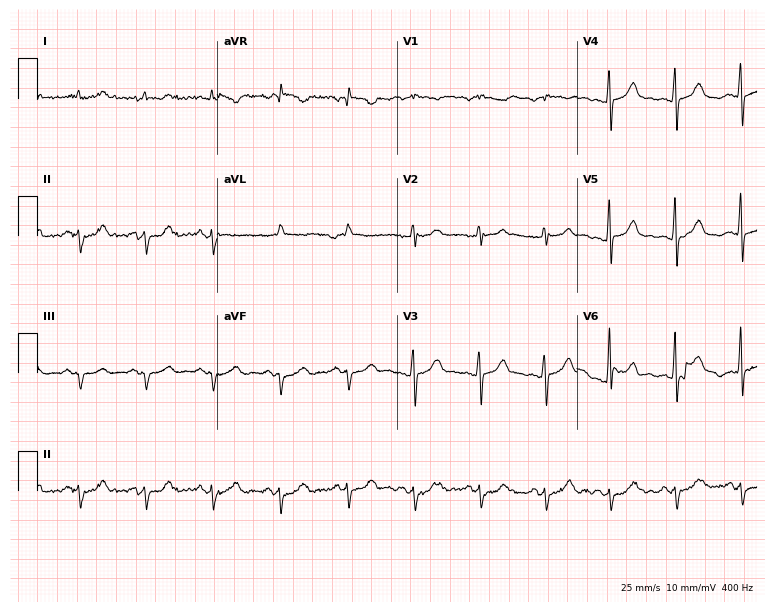
12-lead ECG from a man, 70 years old. Screened for six findings — first-degree AV block, right bundle branch block, left bundle branch block, sinus bradycardia, atrial fibrillation, sinus tachycardia — none is recorded. Only these six findings were labelled.